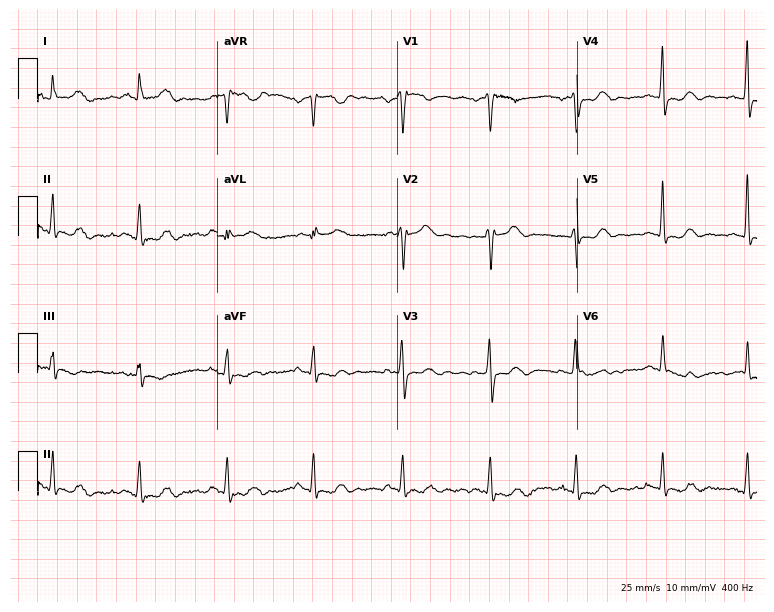
Electrocardiogram (7.3-second recording at 400 Hz), a 42-year-old female. Of the six screened findings (first-degree AV block, right bundle branch block, left bundle branch block, sinus bradycardia, atrial fibrillation, sinus tachycardia), none is recorded.